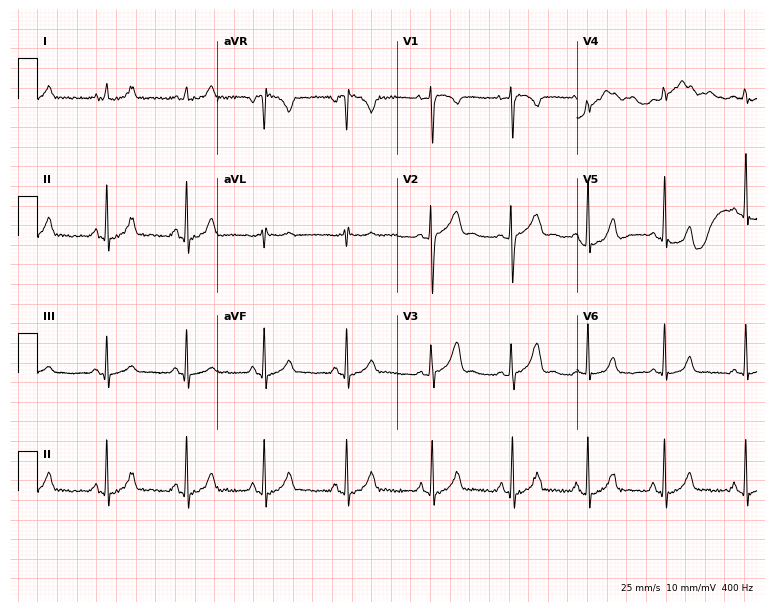
Electrocardiogram, a woman, 17 years old. Of the six screened findings (first-degree AV block, right bundle branch block (RBBB), left bundle branch block (LBBB), sinus bradycardia, atrial fibrillation (AF), sinus tachycardia), none is recorded. Findings outside these six are not listed.